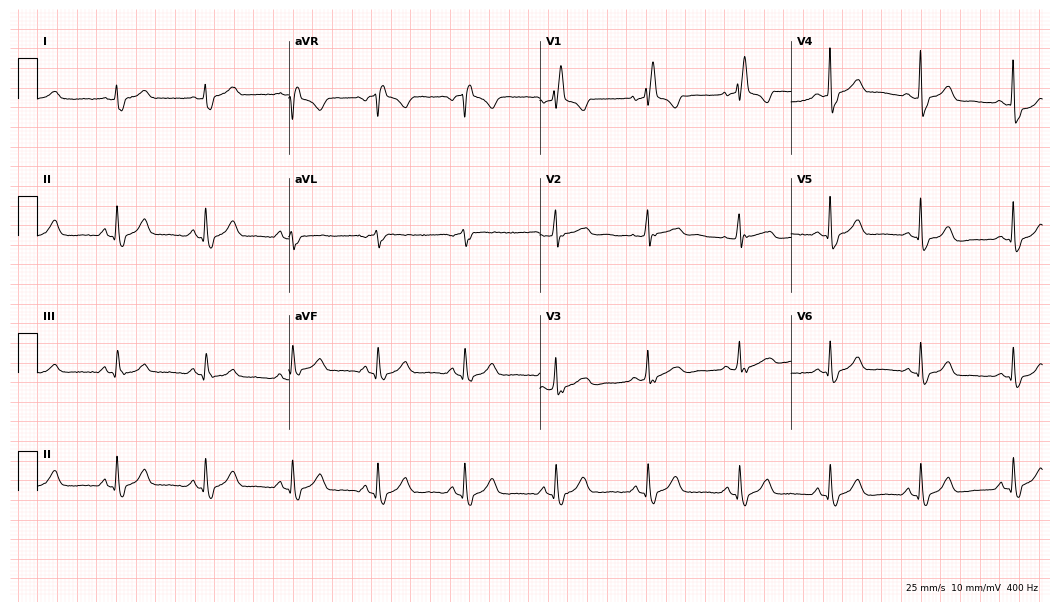
12-lead ECG from a female patient, 66 years old (10.2-second recording at 400 Hz). Shows right bundle branch block (RBBB).